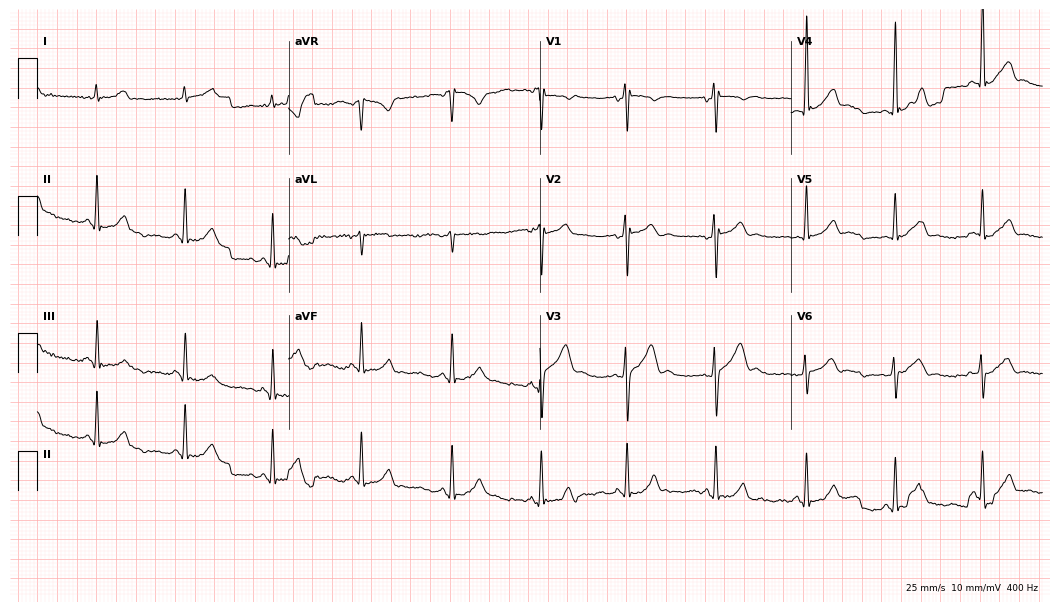
12-lead ECG from a 24-year-old male. No first-degree AV block, right bundle branch block (RBBB), left bundle branch block (LBBB), sinus bradycardia, atrial fibrillation (AF) or sinus tachycardia recorded for this tracing.